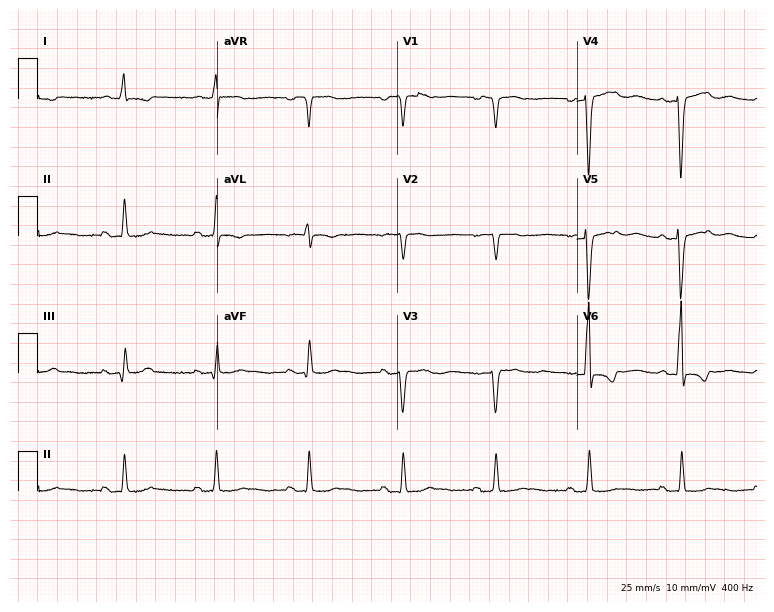
12-lead ECG from a female, 76 years old. Screened for six findings — first-degree AV block, right bundle branch block, left bundle branch block, sinus bradycardia, atrial fibrillation, sinus tachycardia — none is recorded. Findings outside these six are not listed.